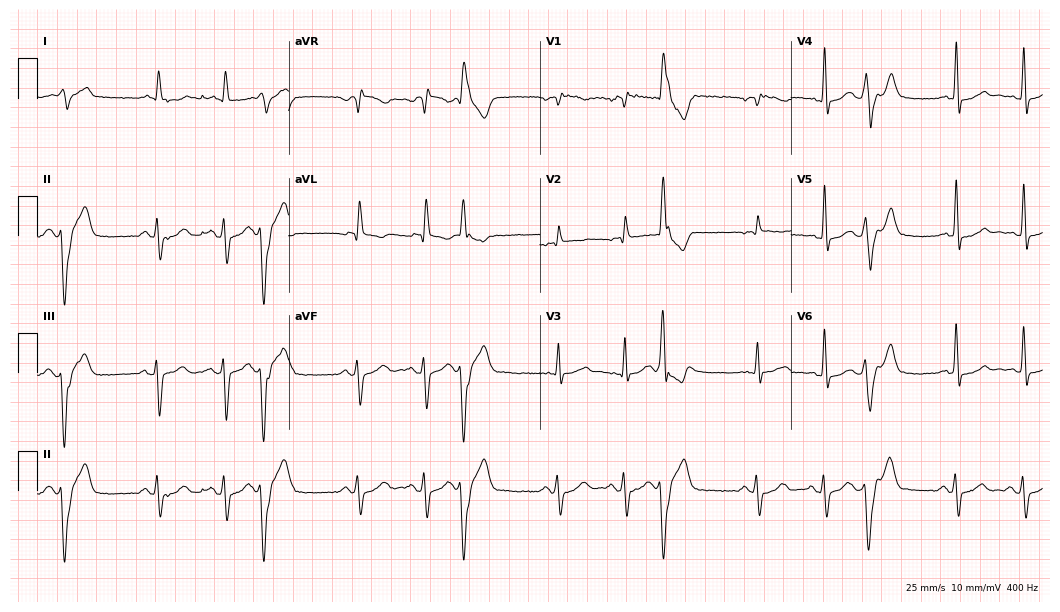
ECG (10.2-second recording at 400 Hz) — a male patient, 72 years old. Screened for six findings — first-degree AV block, right bundle branch block (RBBB), left bundle branch block (LBBB), sinus bradycardia, atrial fibrillation (AF), sinus tachycardia — none is recorded. Findings outside these six are not listed.